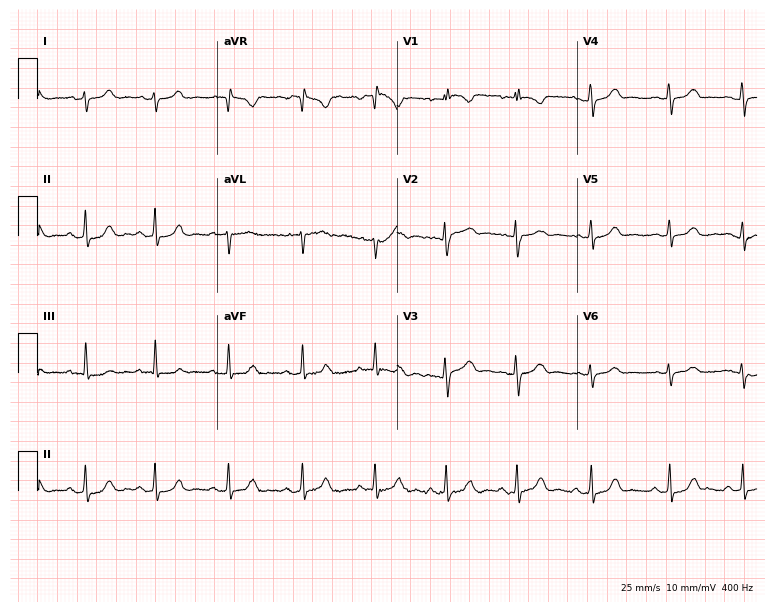
Resting 12-lead electrocardiogram (7.3-second recording at 400 Hz). Patient: a 23-year-old woman. None of these six findings is recorded: first-degree AV block, right bundle branch block, left bundle branch block, sinus bradycardia, atrial fibrillation, sinus tachycardia.